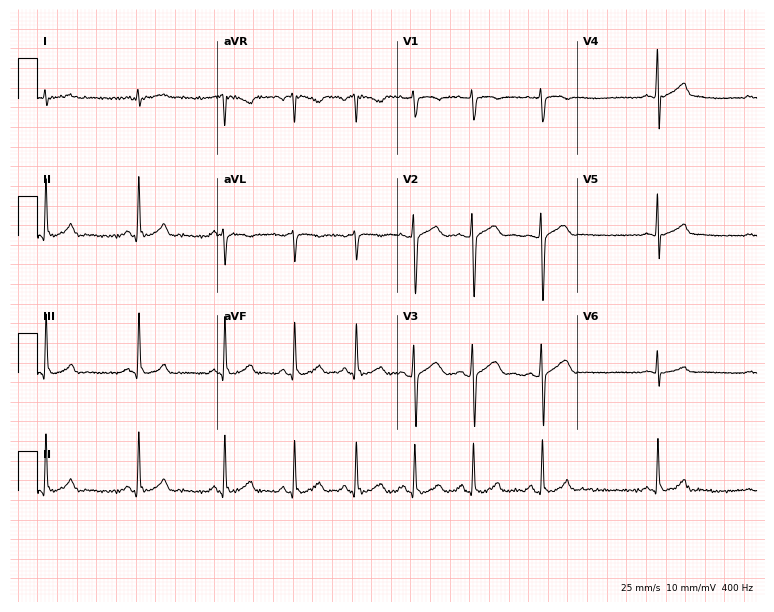
Electrocardiogram (7.3-second recording at 400 Hz), a male patient, 30 years old. Overall reading on record: normal ECG.